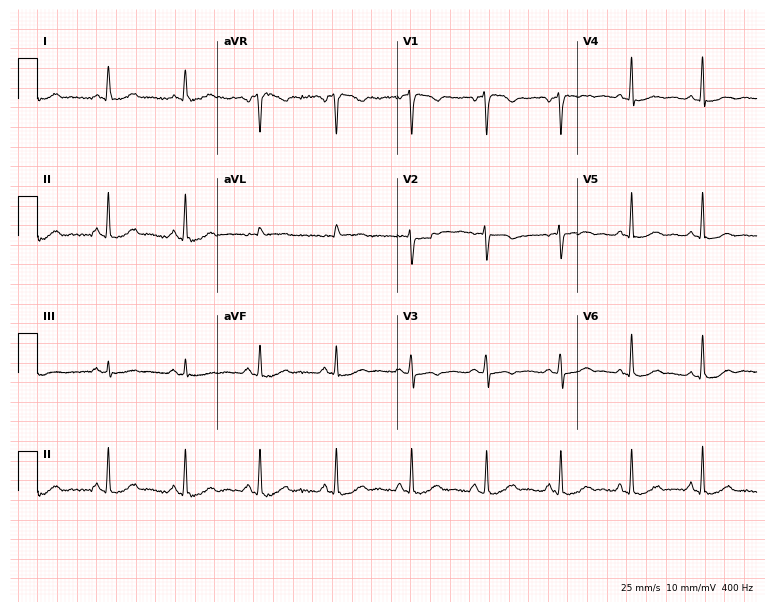
12-lead ECG (7.3-second recording at 400 Hz) from a 54-year-old female patient. Labelled as a normal ECG.